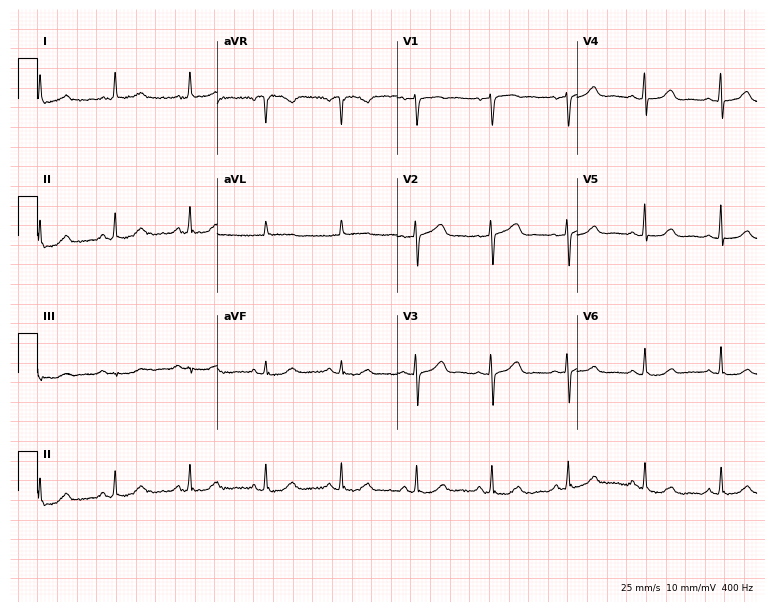
Resting 12-lead electrocardiogram. Patient: a 58-year-old woman. Read as a normal ECG.